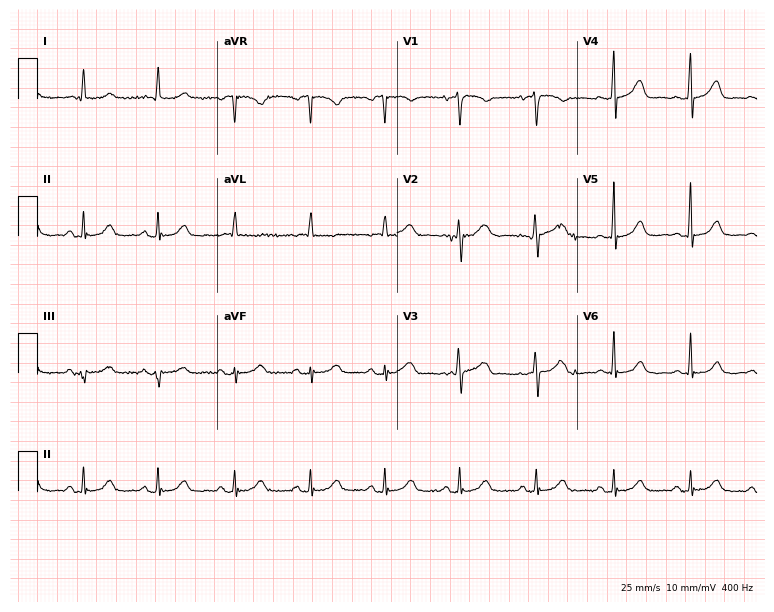
Standard 12-lead ECG recorded from a female patient, 83 years old. Read as a normal ECG.